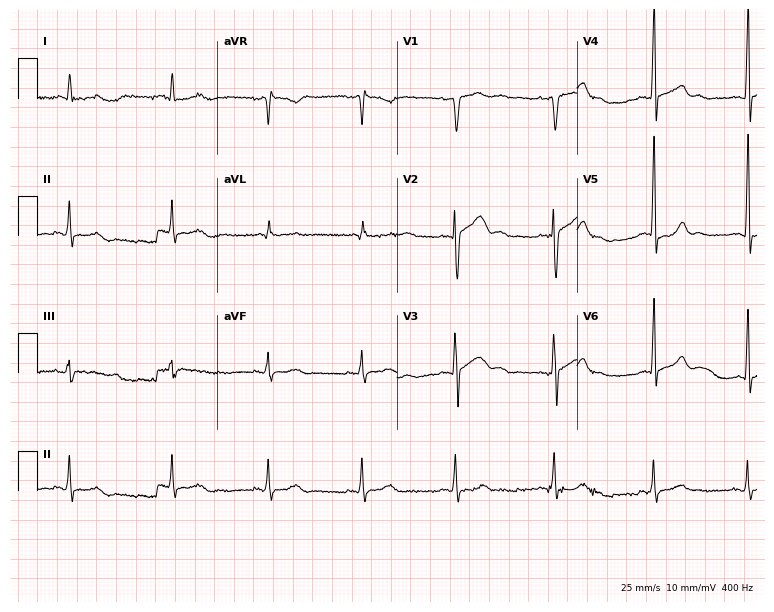
ECG — a 29-year-old male patient. Screened for six findings — first-degree AV block, right bundle branch block (RBBB), left bundle branch block (LBBB), sinus bradycardia, atrial fibrillation (AF), sinus tachycardia — none is recorded.